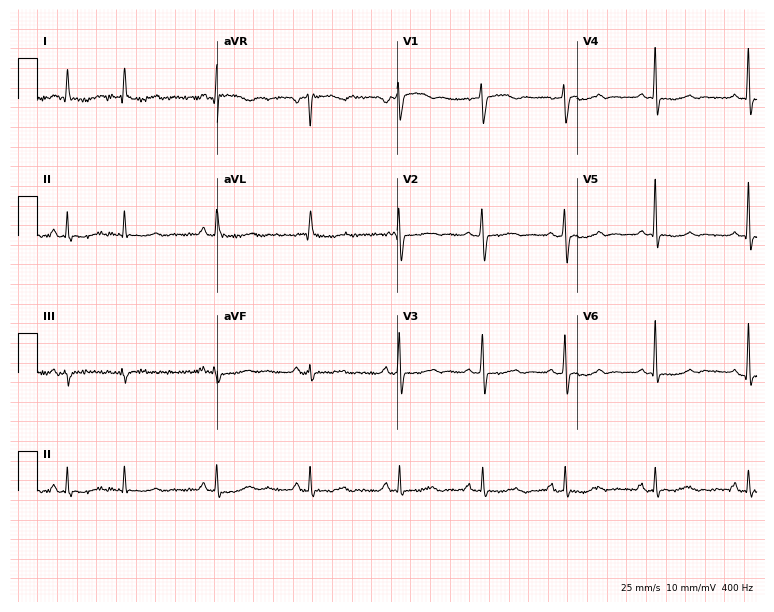
Resting 12-lead electrocardiogram (7.3-second recording at 400 Hz). Patient: a woman, 75 years old. None of these six findings is recorded: first-degree AV block, right bundle branch block, left bundle branch block, sinus bradycardia, atrial fibrillation, sinus tachycardia.